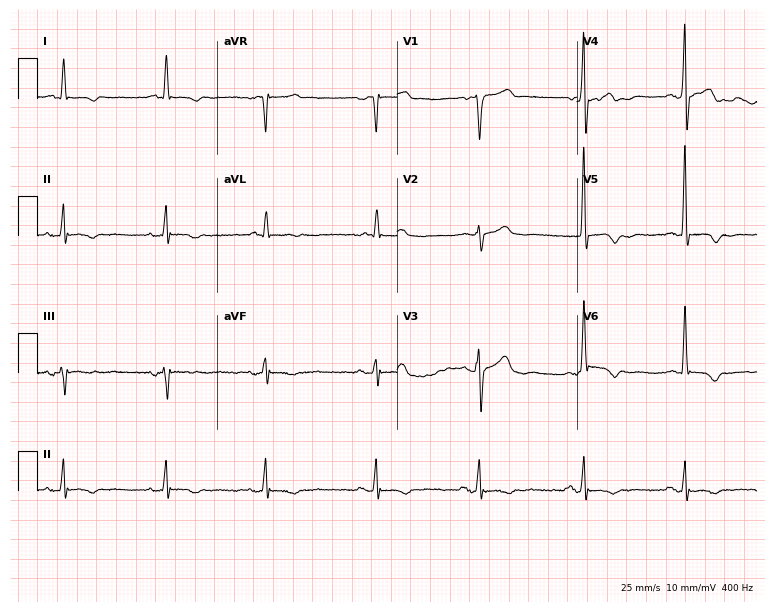
Resting 12-lead electrocardiogram (7.3-second recording at 400 Hz). Patient: a 67-year-old male. None of these six findings is recorded: first-degree AV block, right bundle branch block, left bundle branch block, sinus bradycardia, atrial fibrillation, sinus tachycardia.